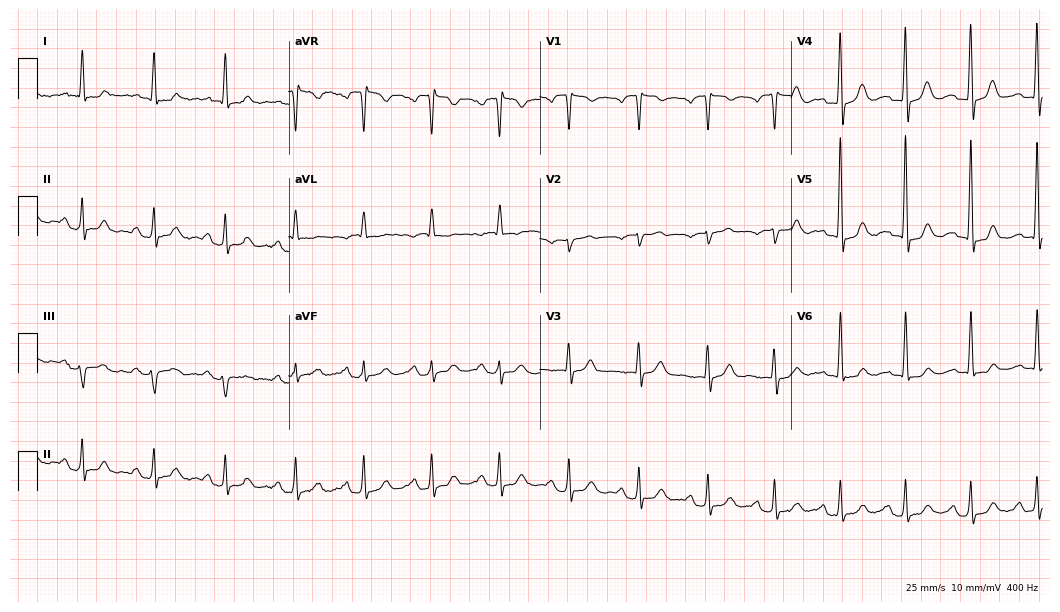
ECG (10.2-second recording at 400 Hz) — a man, 61 years old. Screened for six findings — first-degree AV block, right bundle branch block, left bundle branch block, sinus bradycardia, atrial fibrillation, sinus tachycardia — none is recorded.